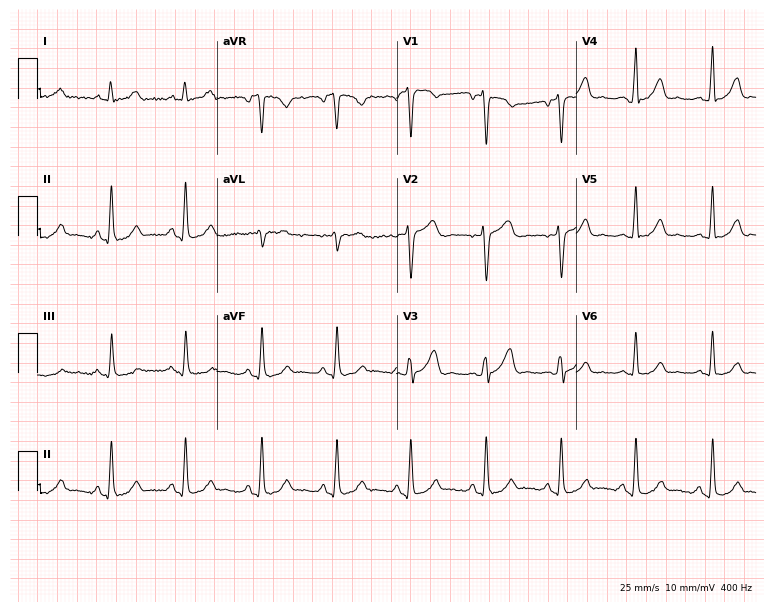
12-lead ECG from a 41-year-old female patient. Labelled as a normal ECG.